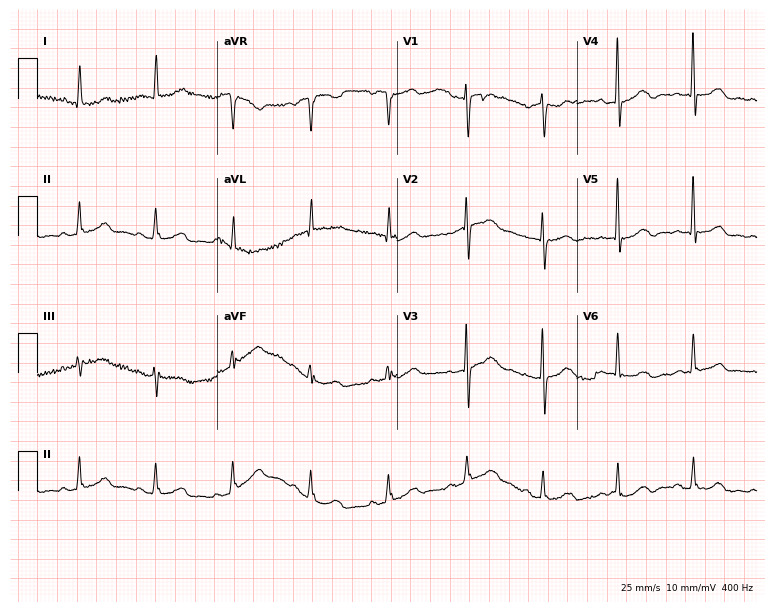
Resting 12-lead electrocardiogram (7.3-second recording at 400 Hz). Patient: a 71-year-old woman. None of these six findings is recorded: first-degree AV block, right bundle branch block, left bundle branch block, sinus bradycardia, atrial fibrillation, sinus tachycardia. Findings outside these six are not listed.